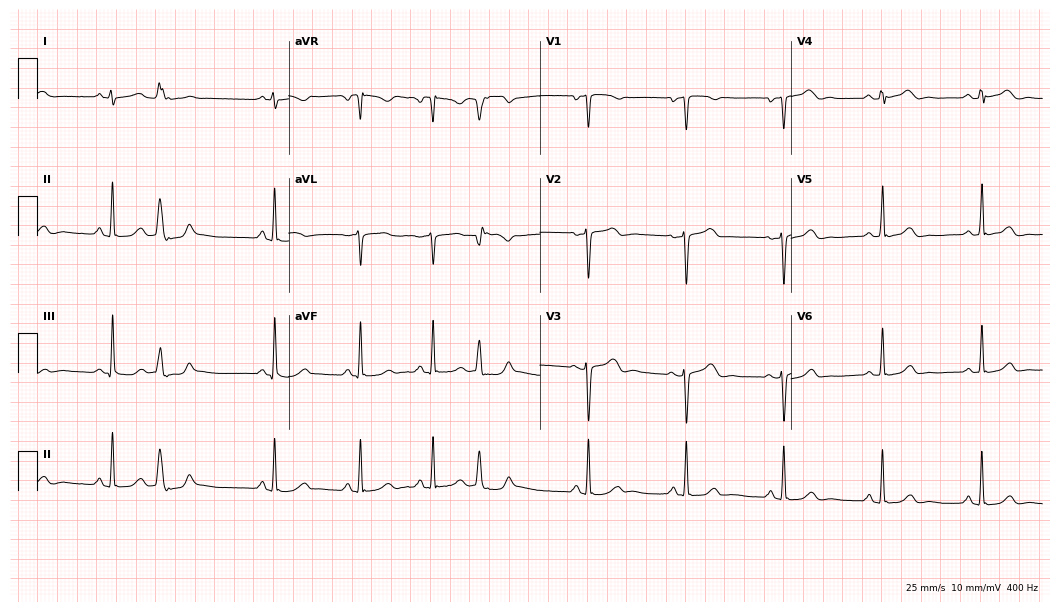
12-lead ECG from a 34-year-old female patient. No first-degree AV block, right bundle branch block (RBBB), left bundle branch block (LBBB), sinus bradycardia, atrial fibrillation (AF) or sinus tachycardia recorded for this tracing. Other findings, if any, are not listed.